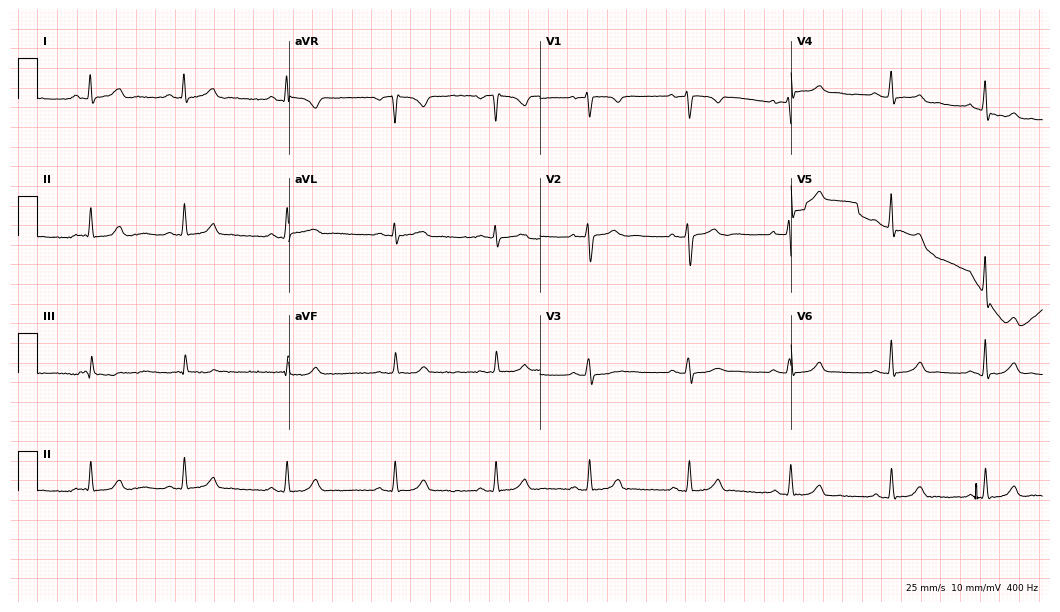
Standard 12-lead ECG recorded from a woman, 31 years old (10.2-second recording at 400 Hz). Read as a normal ECG.